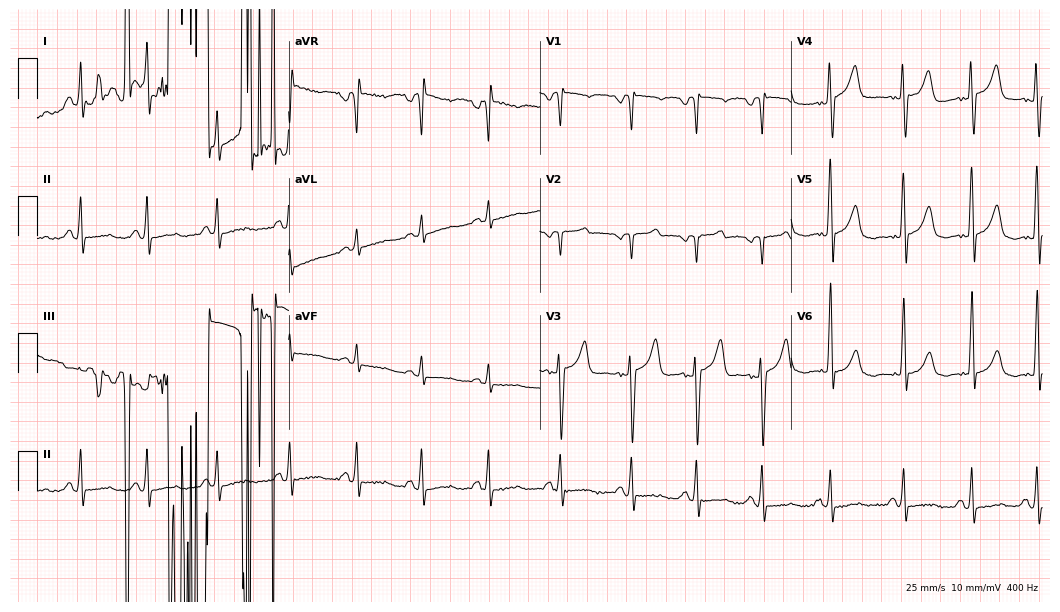
12-lead ECG (10.2-second recording at 400 Hz) from a 71-year-old male patient. Screened for six findings — first-degree AV block, right bundle branch block, left bundle branch block, sinus bradycardia, atrial fibrillation, sinus tachycardia — none is recorded. Other findings, if any, are not listed.